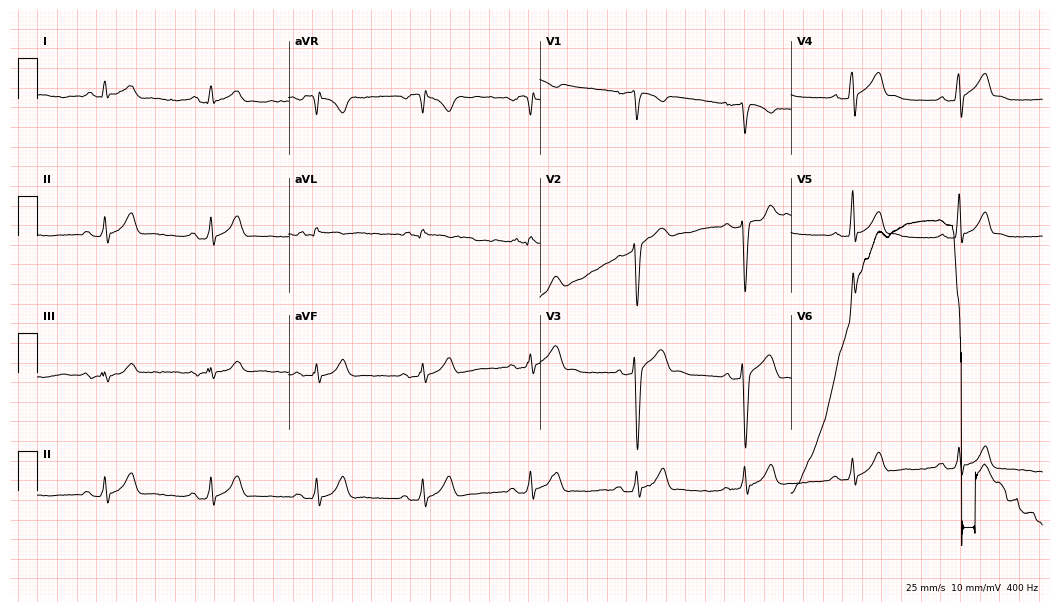
12-lead ECG from a male, 34 years old. No first-degree AV block, right bundle branch block (RBBB), left bundle branch block (LBBB), sinus bradycardia, atrial fibrillation (AF) or sinus tachycardia recorded for this tracing.